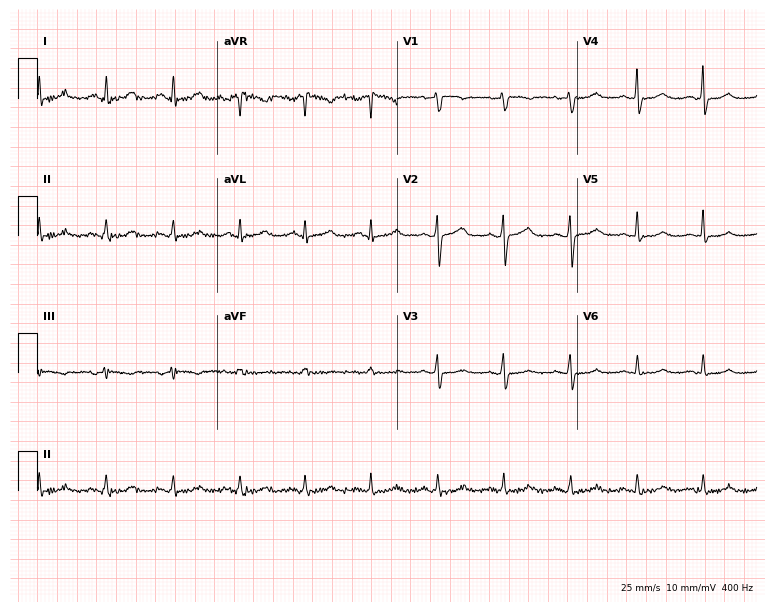
ECG — a 51-year-old woman. Labelled as a normal ECG.